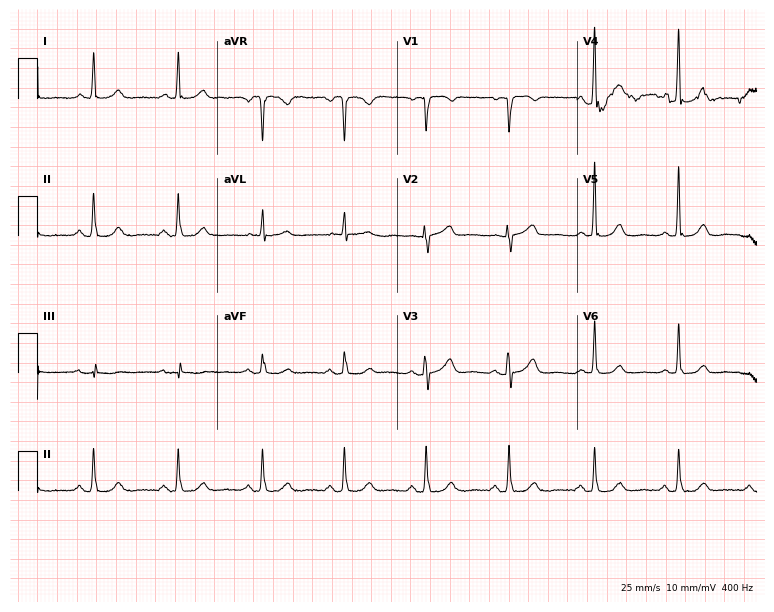
Resting 12-lead electrocardiogram (7.3-second recording at 400 Hz). Patient: a 75-year-old female. Read as a normal ECG.